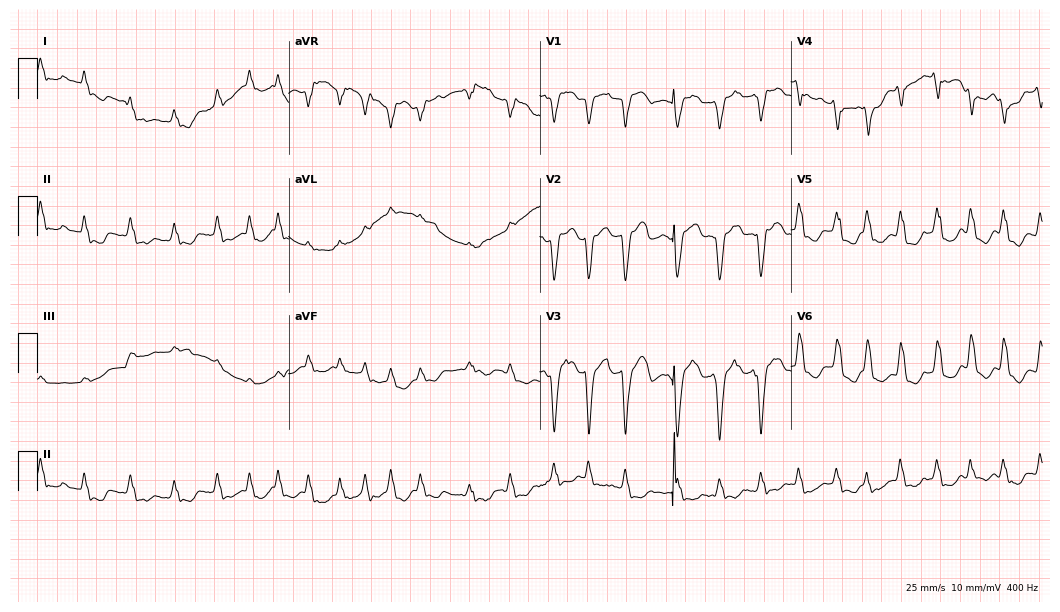
12-lead ECG from an 88-year-old female (10.2-second recording at 400 Hz). Shows atrial fibrillation (AF).